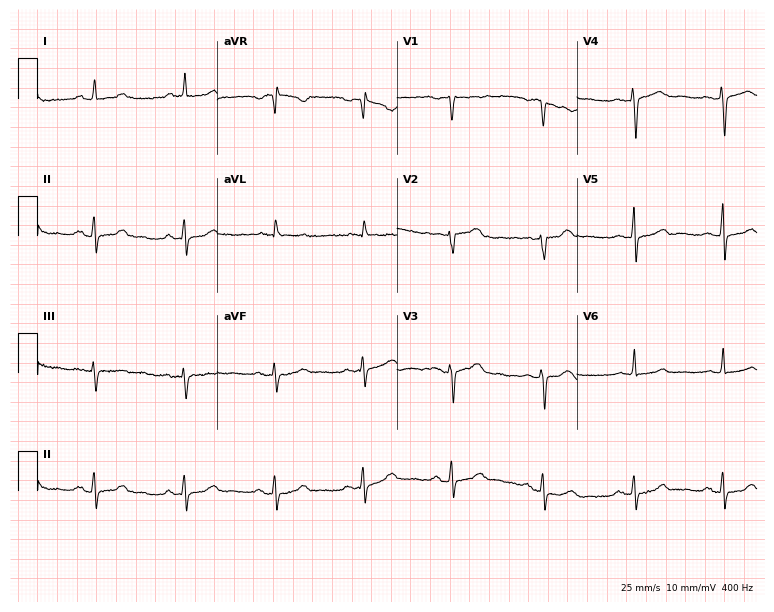
12-lead ECG from a female patient, 58 years old. Screened for six findings — first-degree AV block, right bundle branch block, left bundle branch block, sinus bradycardia, atrial fibrillation, sinus tachycardia — none is recorded. Other findings, if any, are not listed.